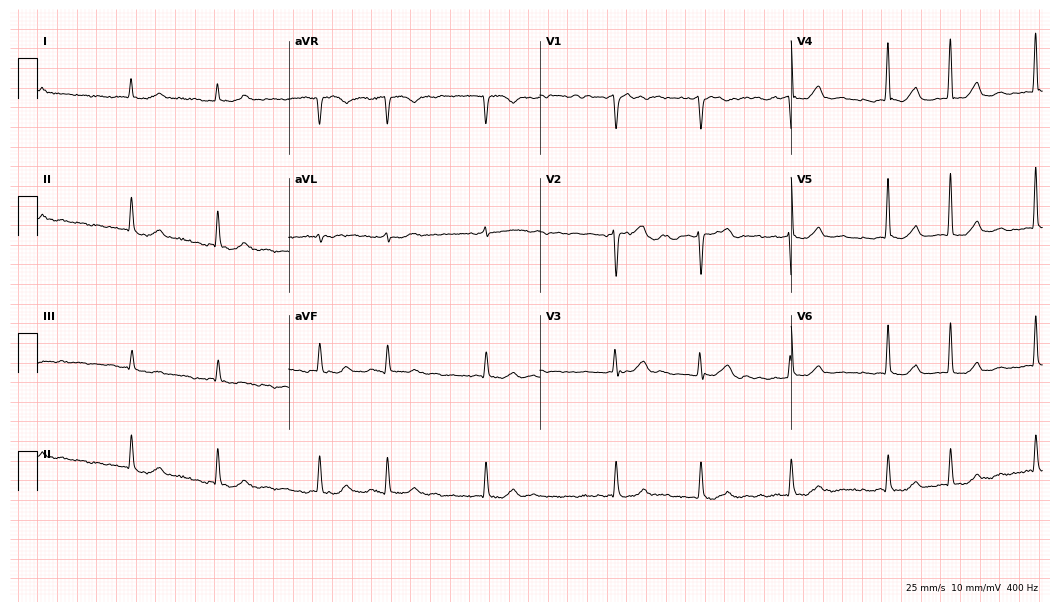
12-lead ECG (10.2-second recording at 400 Hz) from a female, 76 years old. Findings include atrial fibrillation (AF).